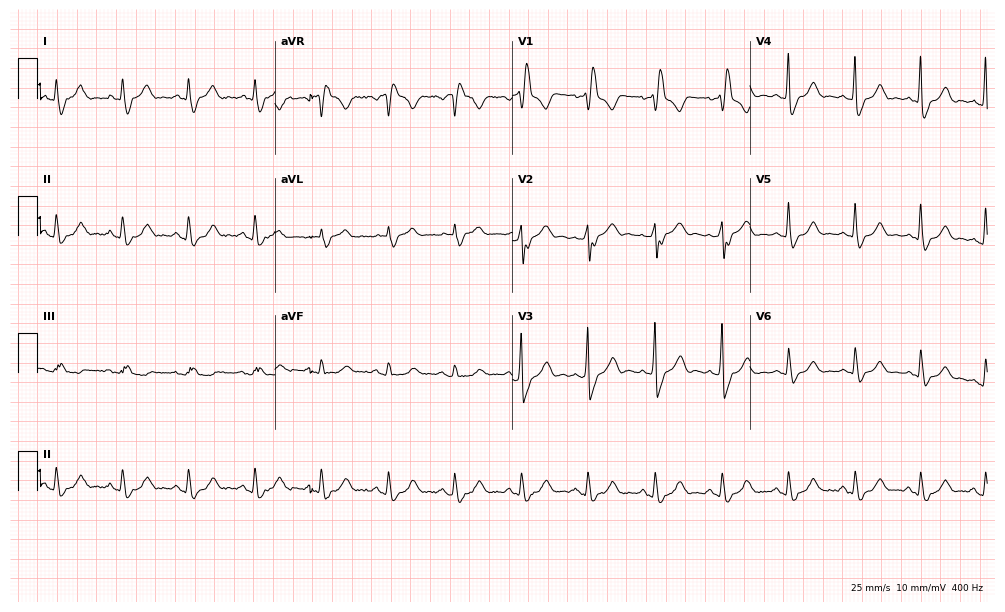
Standard 12-lead ECG recorded from a 66-year-old male. The tracing shows right bundle branch block.